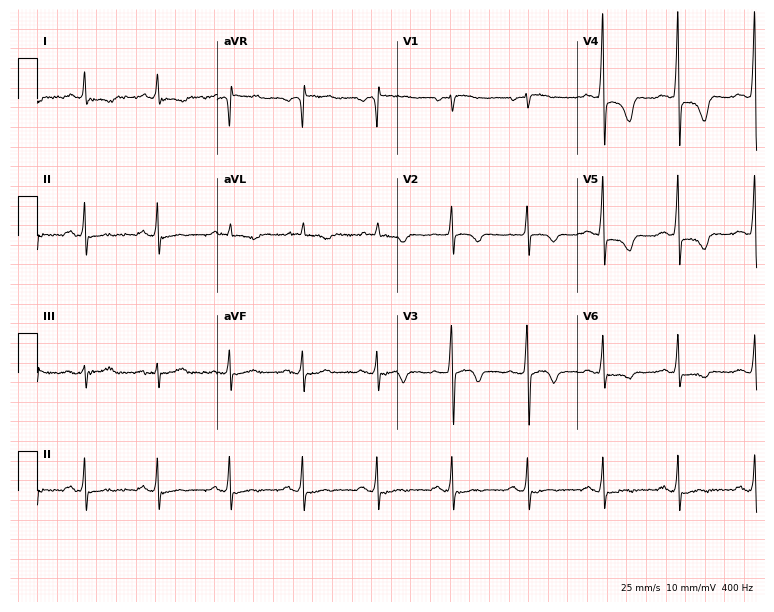
Resting 12-lead electrocardiogram (7.3-second recording at 400 Hz). Patient: a man, 76 years old. None of these six findings is recorded: first-degree AV block, right bundle branch block, left bundle branch block, sinus bradycardia, atrial fibrillation, sinus tachycardia.